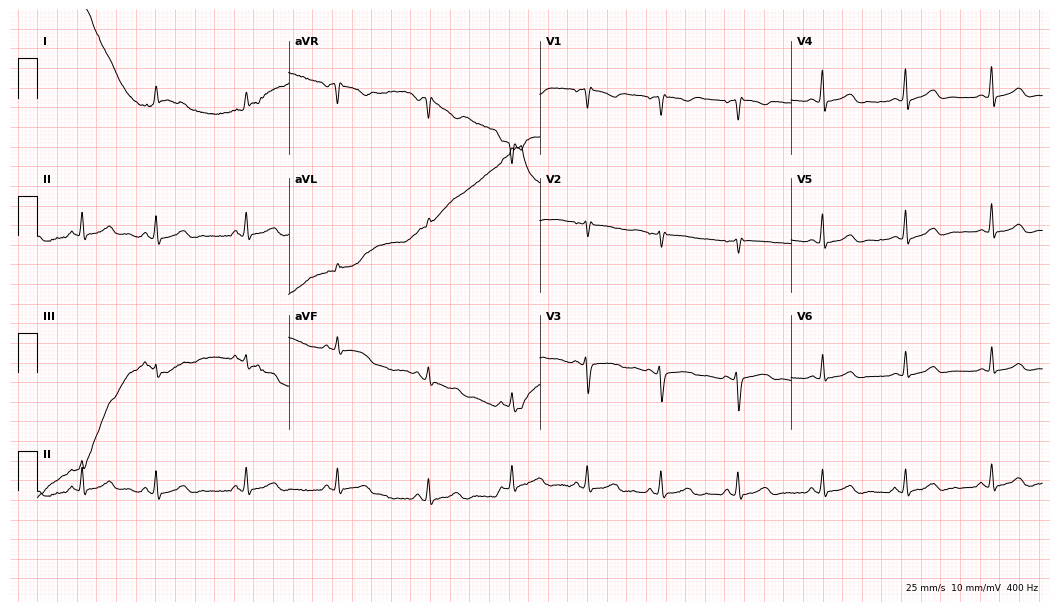
Resting 12-lead electrocardiogram (10.2-second recording at 400 Hz). Patient: a female, 27 years old. Read as a normal ECG.